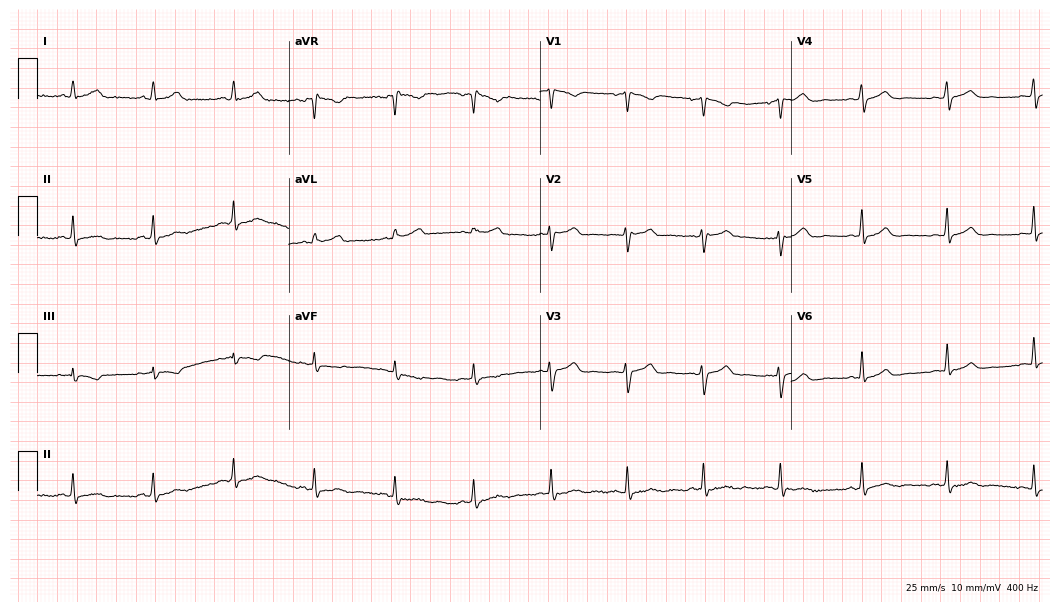
Resting 12-lead electrocardiogram. Patient: a female, 44 years old. None of these six findings is recorded: first-degree AV block, right bundle branch block, left bundle branch block, sinus bradycardia, atrial fibrillation, sinus tachycardia. Only these six findings were labelled.